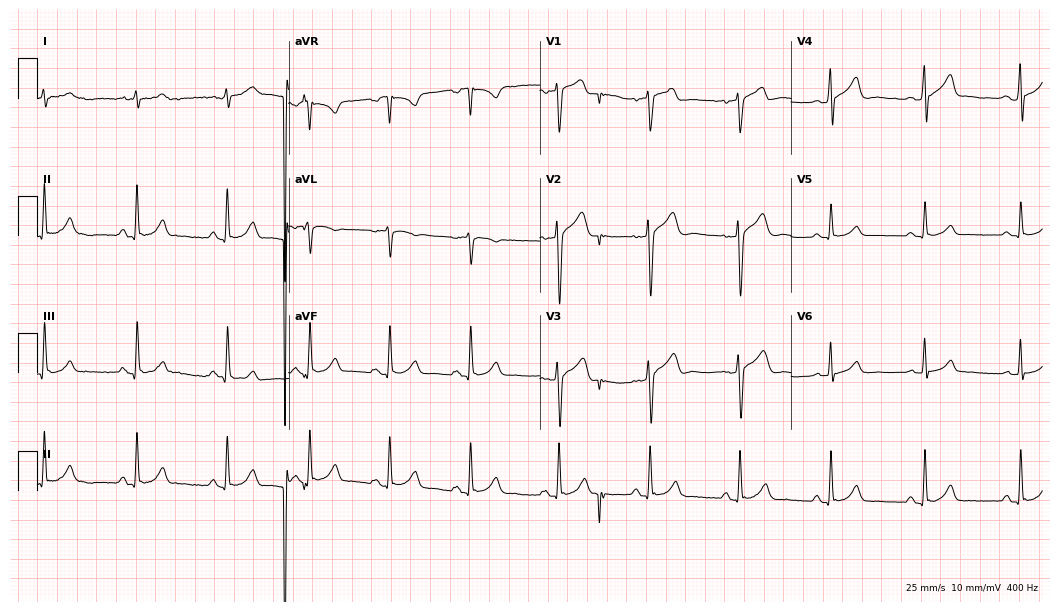
Electrocardiogram, a male, 56 years old. Of the six screened findings (first-degree AV block, right bundle branch block, left bundle branch block, sinus bradycardia, atrial fibrillation, sinus tachycardia), none is recorded. Only these six findings were labelled.